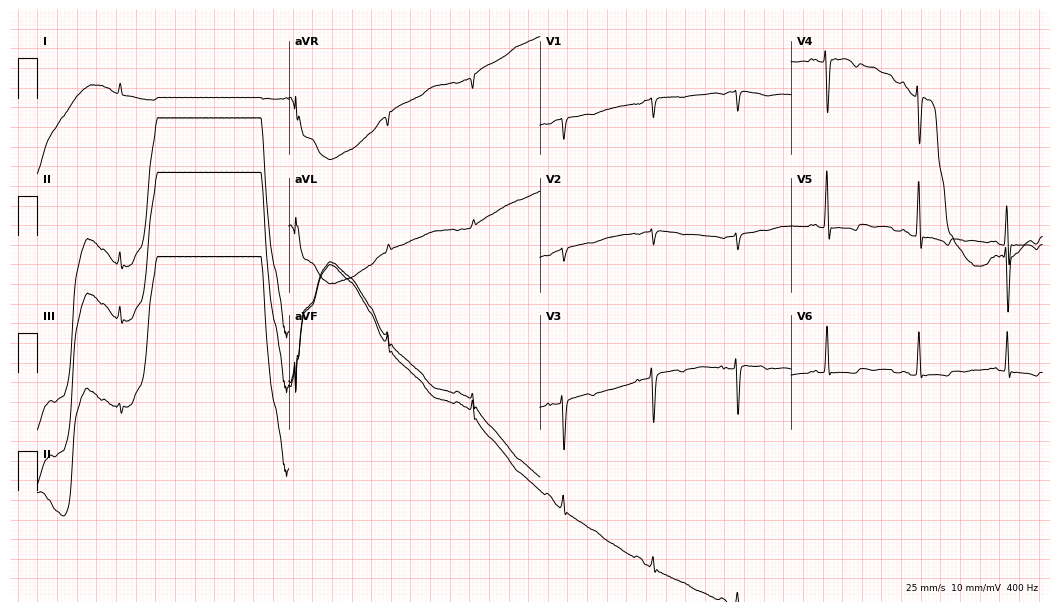
12-lead ECG (10.2-second recording at 400 Hz) from a 79-year-old female patient. Screened for six findings — first-degree AV block, right bundle branch block, left bundle branch block, sinus bradycardia, atrial fibrillation, sinus tachycardia — none is recorded.